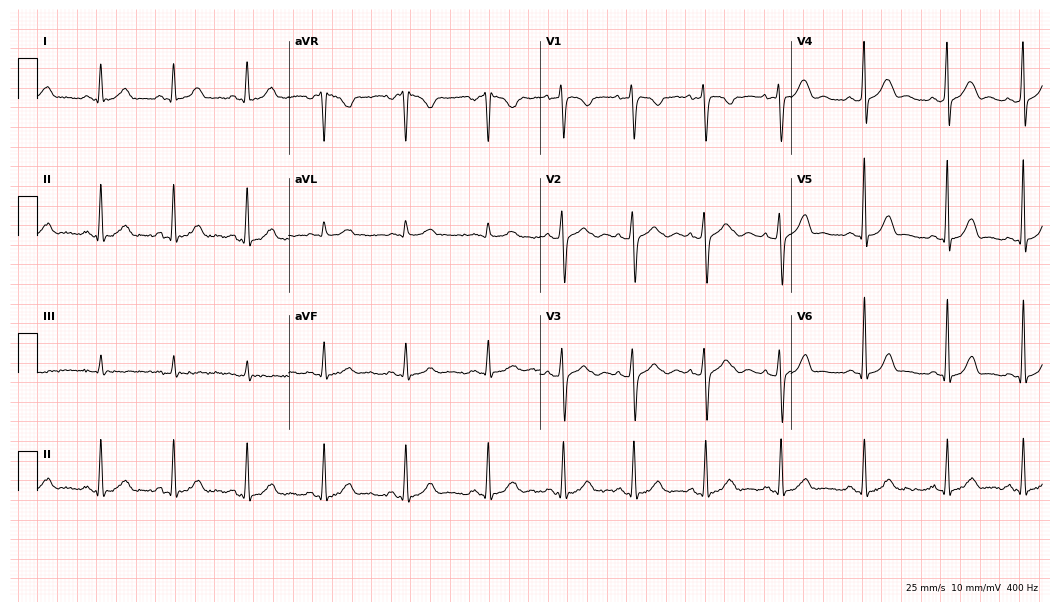
12-lead ECG (10.2-second recording at 400 Hz) from a female patient, 17 years old. Labelled as a normal ECG.